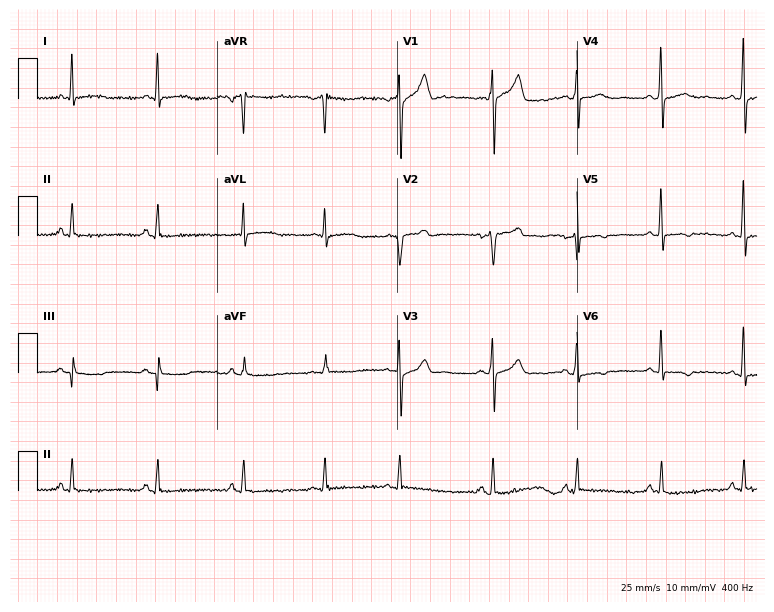
ECG — a 54-year-old male. Screened for six findings — first-degree AV block, right bundle branch block, left bundle branch block, sinus bradycardia, atrial fibrillation, sinus tachycardia — none is recorded. Only these six findings were labelled.